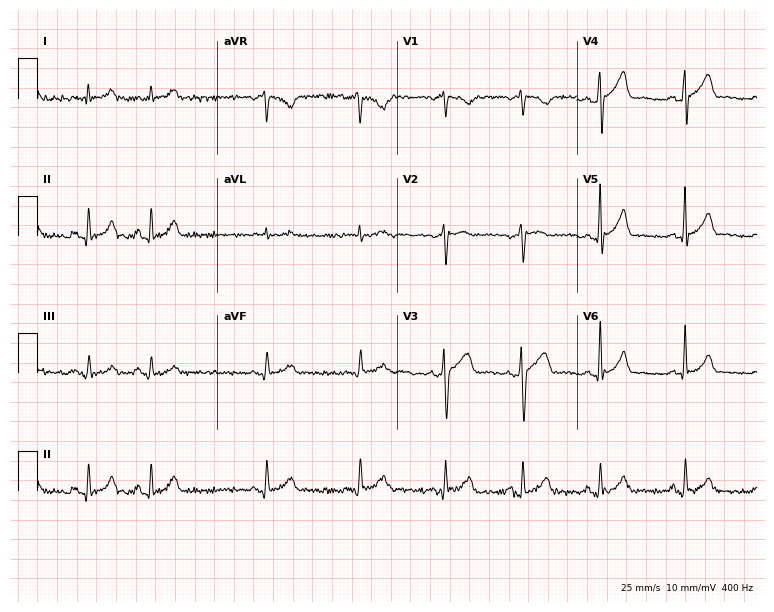
Standard 12-lead ECG recorded from a 44-year-old male. None of these six findings is recorded: first-degree AV block, right bundle branch block (RBBB), left bundle branch block (LBBB), sinus bradycardia, atrial fibrillation (AF), sinus tachycardia. Only these six findings were labelled.